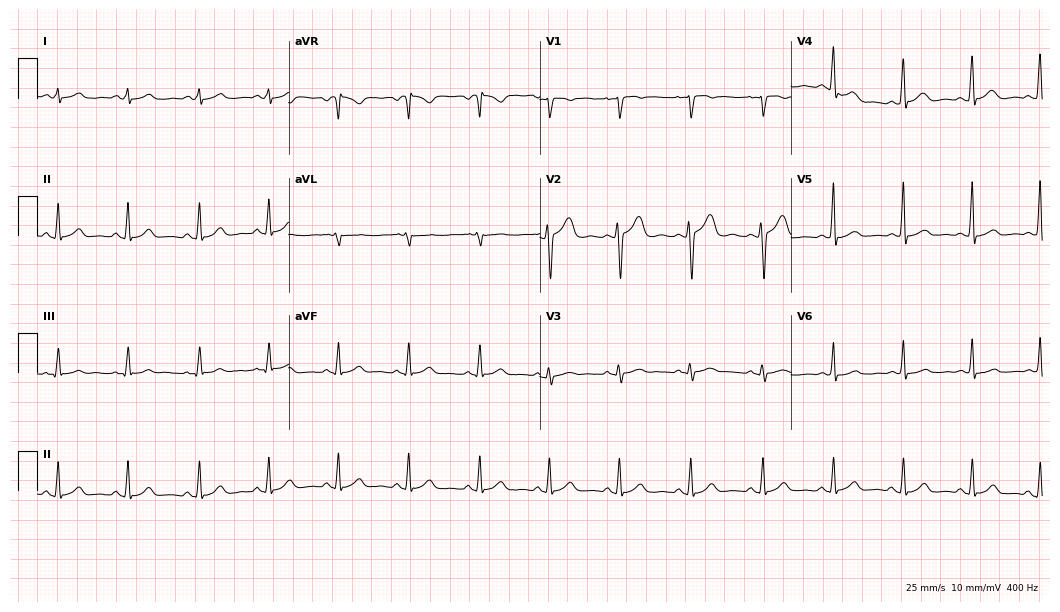
ECG (10.2-second recording at 400 Hz) — a male, 17 years old. Labelled as a normal ECG.